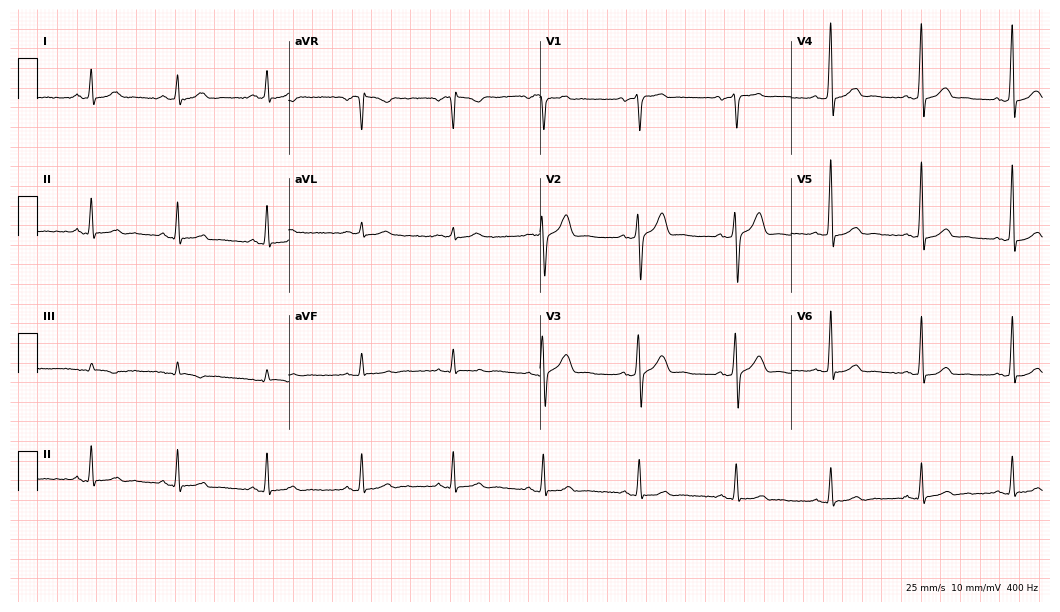
Resting 12-lead electrocardiogram (10.2-second recording at 400 Hz). Patient: a 32-year-old man. Read as a normal ECG.